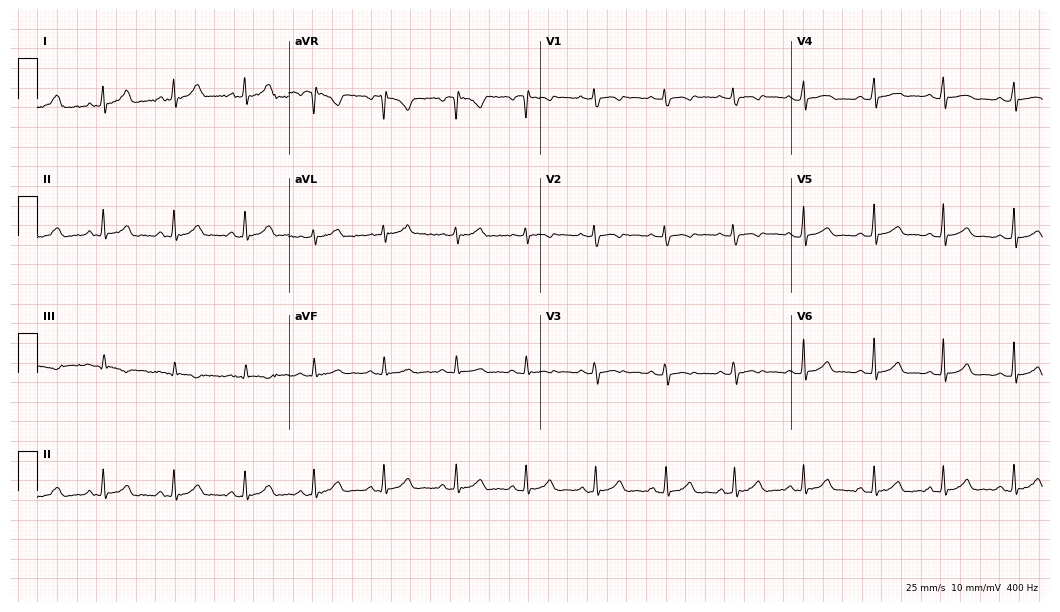
ECG (10.2-second recording at 400 Hz) — a 21-year-old woman. Labelled as a normal ECG.